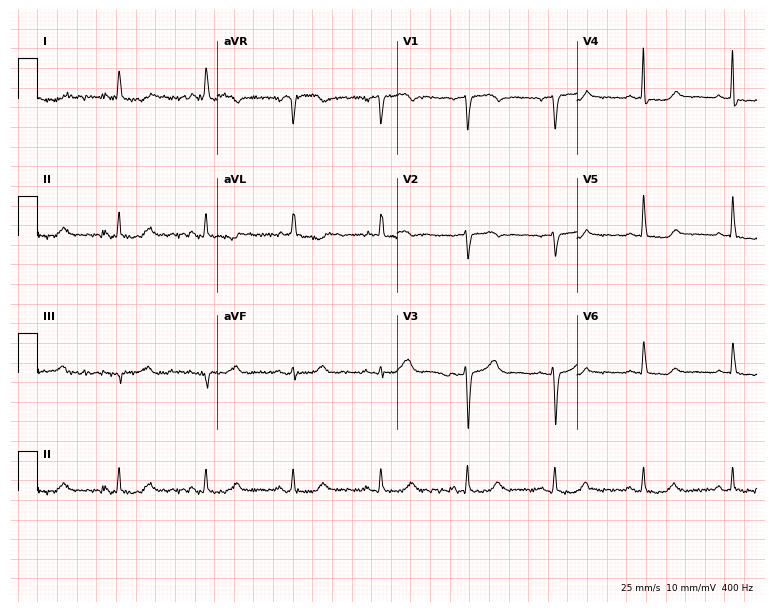
12-lead ECG (7.3-second recording at 400 Hz) from a female, 53 years old. Screened for six findings — first-degree AV block, right bundle branch block, left bundle branch block, sinus bradycardia, atrial fibrillation, sinus tachycardia — none is recorded. Findings outside these six are not listed.